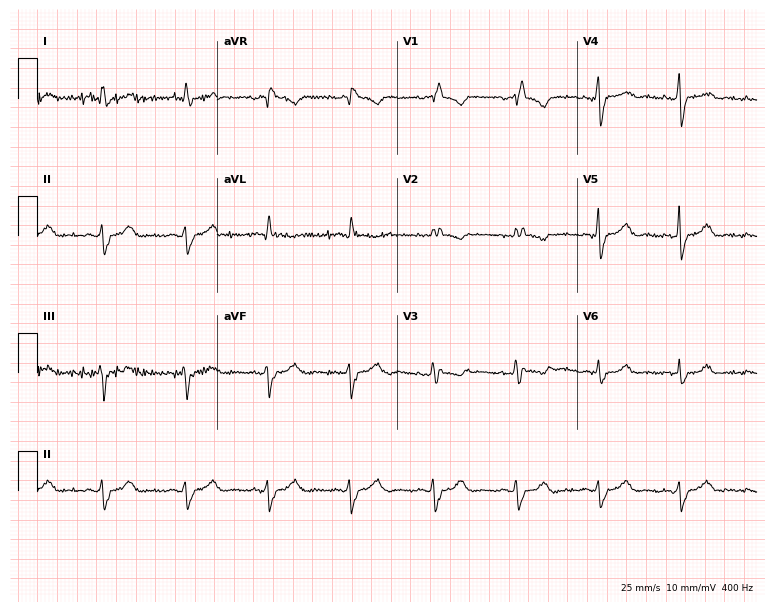
Resting 12-lead electrocardiogram. Patient: a woman, 45 years old. The tracing shows right bundle branch block.